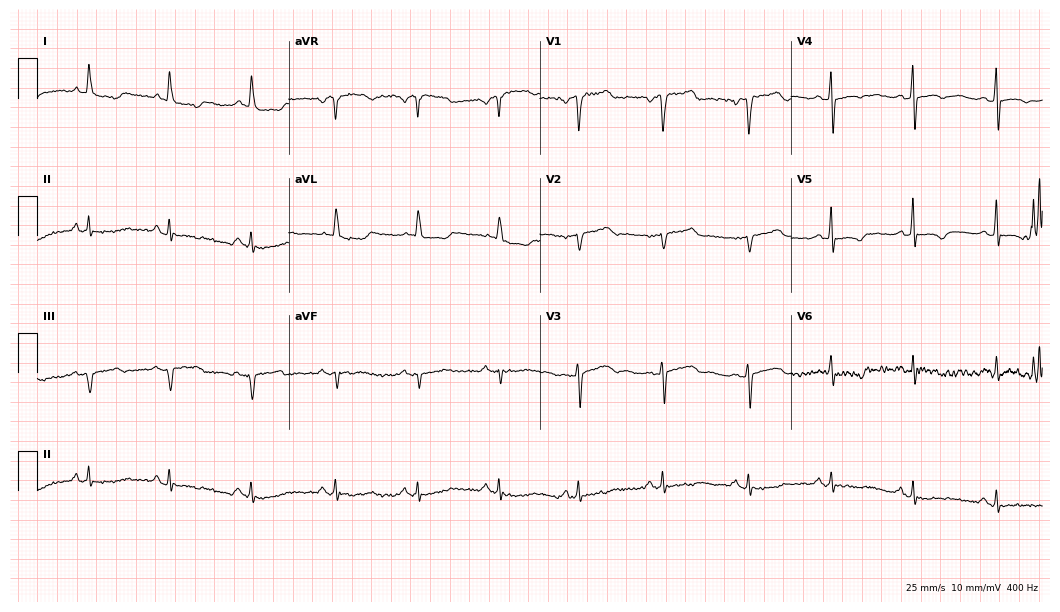
Resting 12-lead electrocardiogram (10.2-second recording at 400 Hz). Patient: a woman, 72 years old. None of these six findings is recorded: first-degree AV block, right bundle branch block, left bundle branch block, sinus bradycardia, atrial fibrillation, sinus tachycardia. Only these six findings were labelled.